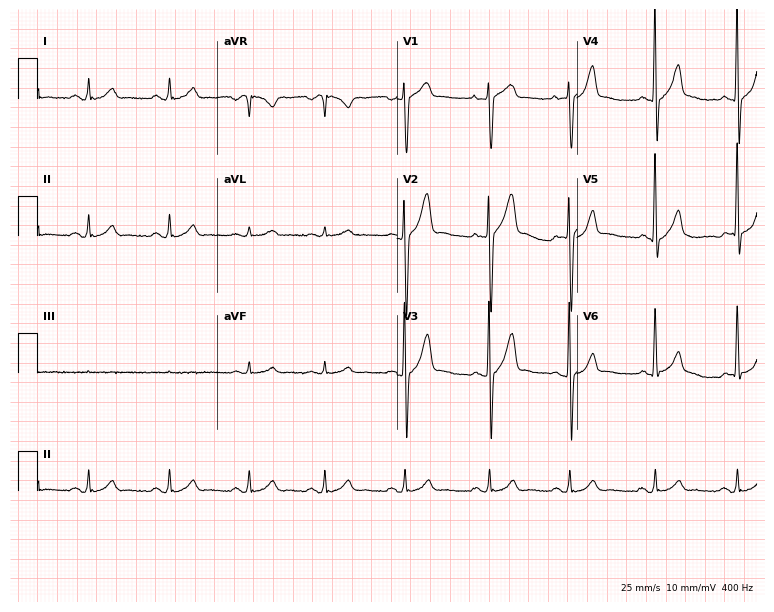
Standard 12-lead ECG recorded from a 32-year-old male. Read as a normal ECG.